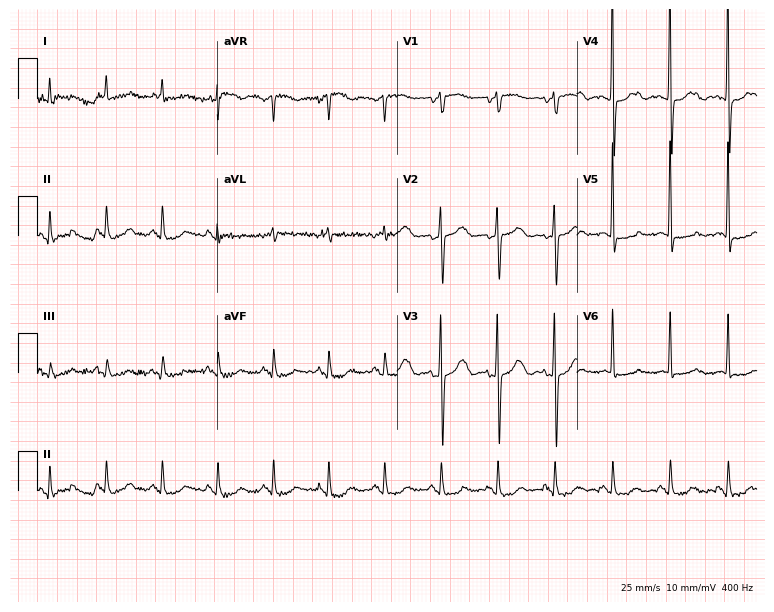
12-lead ECG (7.3-second recording at 400 Hz) from a 79-year-old woman. Screened for six findings — first-degree AV block, right bundle branch block, left bundle branch block, sinus bradycardia, atrial fibrillation, sinus tachycardia — none is recorded. Other findings, if any, are not listed.